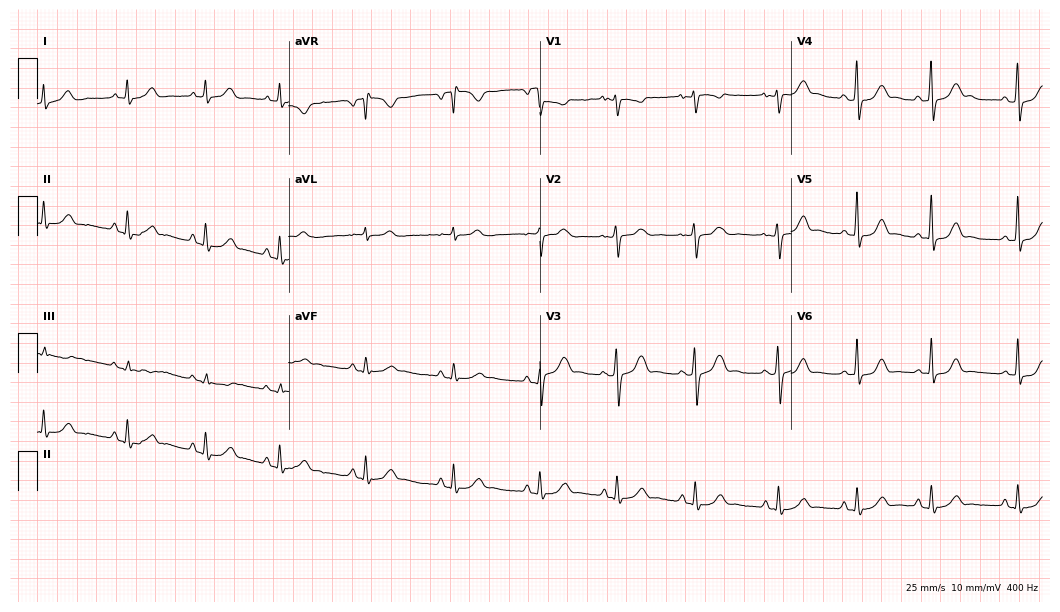
Electrocardiogram (10.2-second recording at 400 Hz), a 23-year-old female. Of the six screened findings (first-degree AV block, right bundle branch block, left bundle branch block, sinus bradycardia, atrial fibrillation, sinus tachycardia), none is recorded. Only these six findings were labelled.